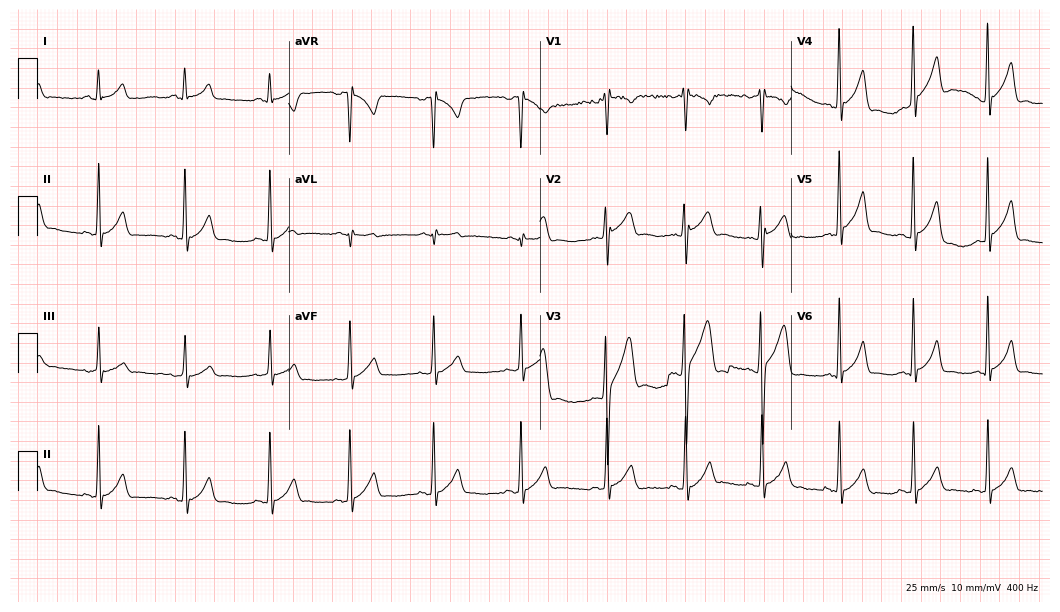
Electrocardiogram (10.2-second recording at 400 Hz), a 17-year-old man. Overall reading on record: normal ECG.